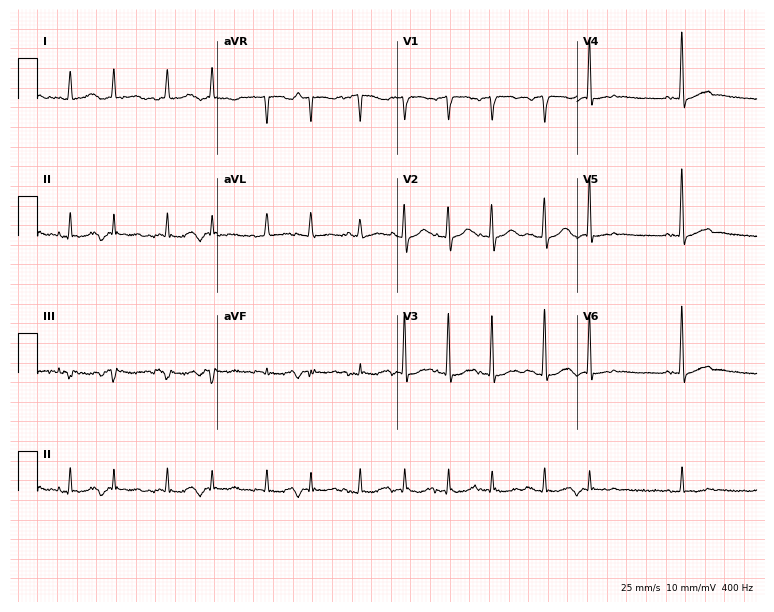
Standard 12-lead ECG recorded from an 83-year-old male patient (7.3-second recording at 400 Hz). None of these six findings is recorded: first-degree AV block, right bundle branch block, left bundle branch block, sinus bradycardia, atrial fibrillation, sinus tachycardia.